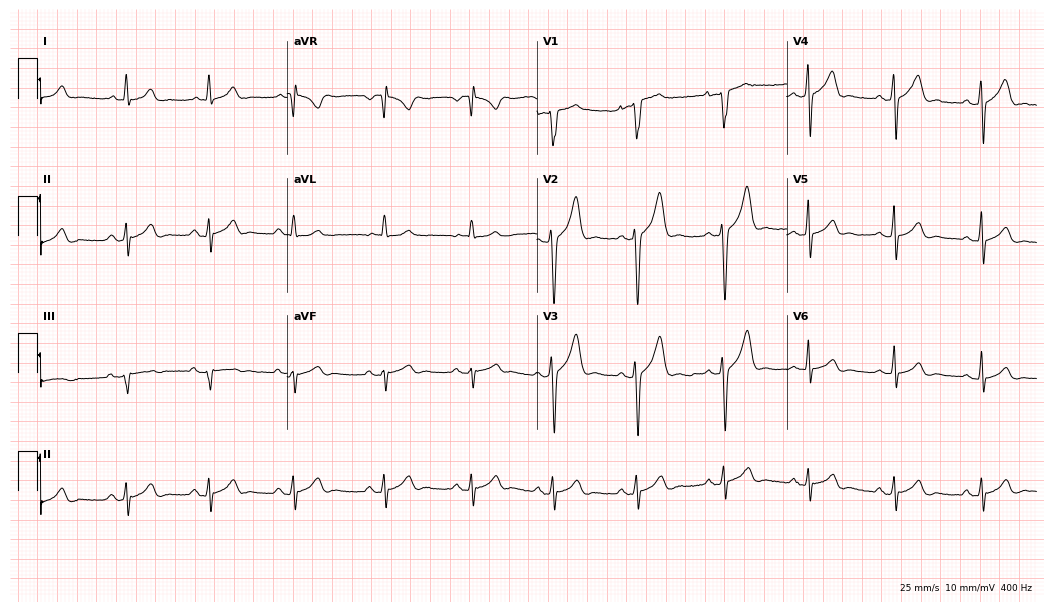
Standard 12-lead ECG recorded from a 25-year-old man. Read as a normal ECG.